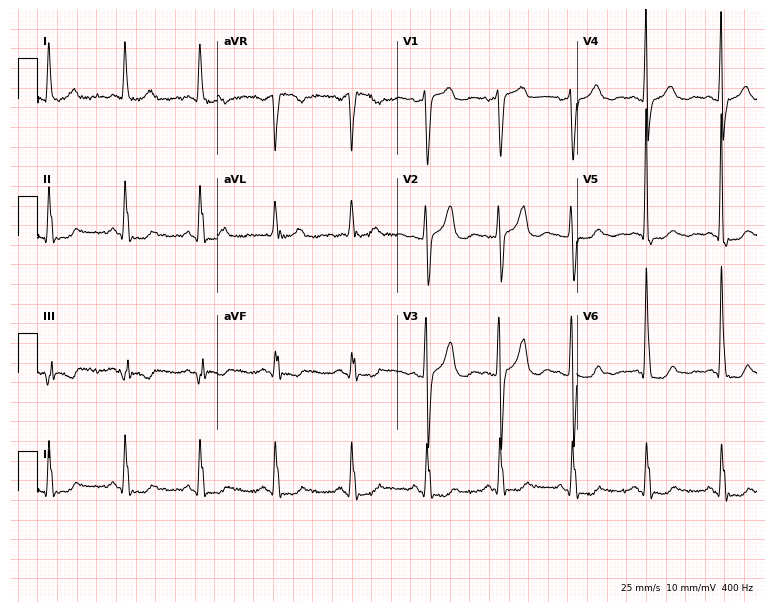
12-lead ECG from a female, 80 years old (7.3-second recording at 400 Hz). No first-degree AV block, right bundle branch block (RBBB), left bundle branch block (LBBB), sinus bradycardia, atrial fibrillation (AF) or sinus tachycardia recorded for this tracing. Findings outside these six are not listed.